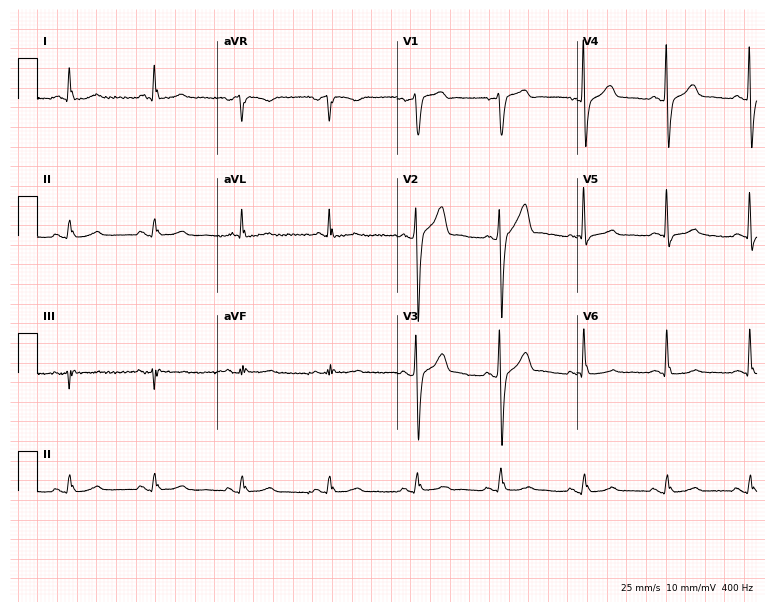
Resting 12-lead electrocardiogram (7.3-second recording at 400 Hz). Patient: a man, 47 years old. Read as a normal ECG.